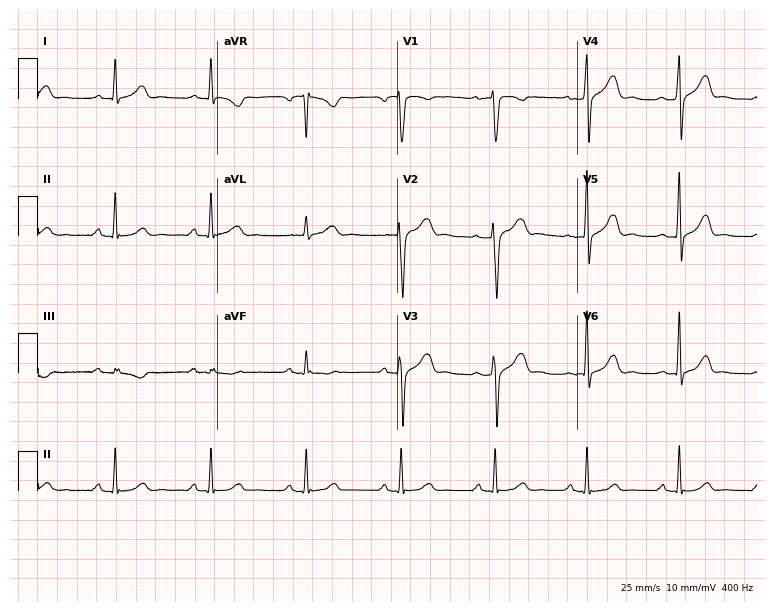
Resting 12-lead electrocardiogram (7.3-second recording at 400 Hz). Patient: a woman, 32 years old. None of these six findings is recorded: first-degree AV block, right bundle branch block (RBBB), left bundle branch block (LBBB), sinus bradycardia, atrial fibrillation (AF), sinus tachycardia. Only these six findings were labelled.